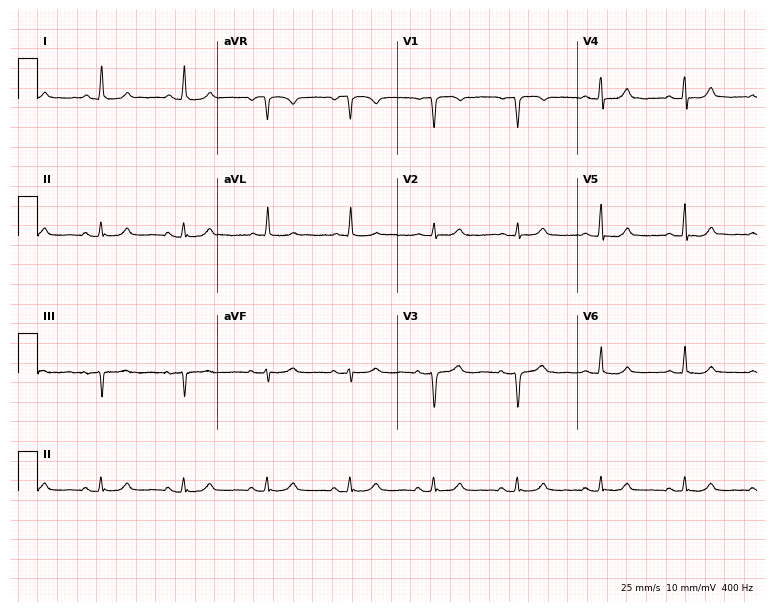
Electrocardiogram, a female patient, 83 years old. Overall reading on record: normal ECG.